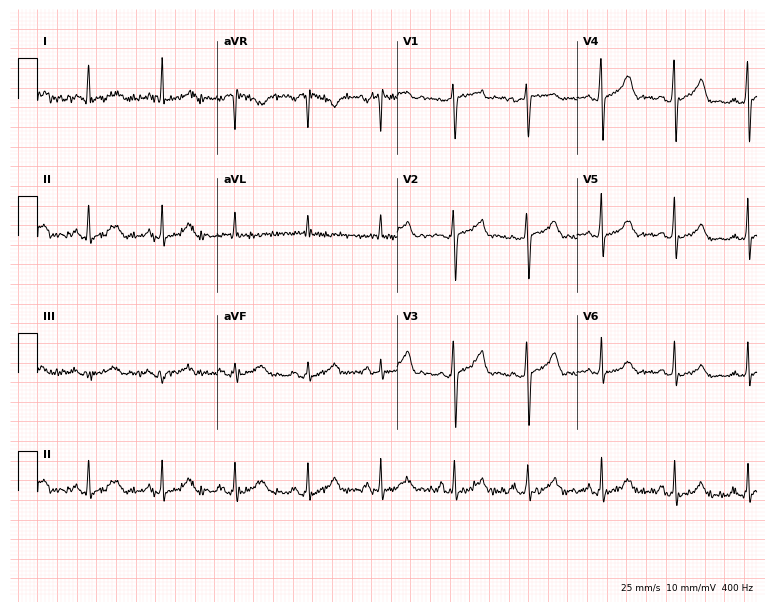
ECG (7.3-second recording at 400 Hz) — a 56-year-old woman. Labelled as a normal ECG.